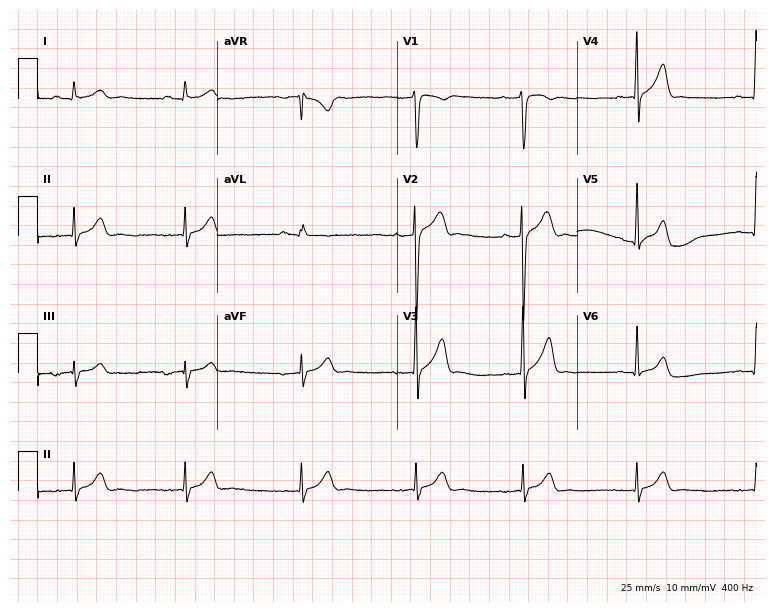
Standard 12-lead ECG recorded from a 23-year-old male patient (7.3-second recording at 400 Hz). Read as a normal ECG.